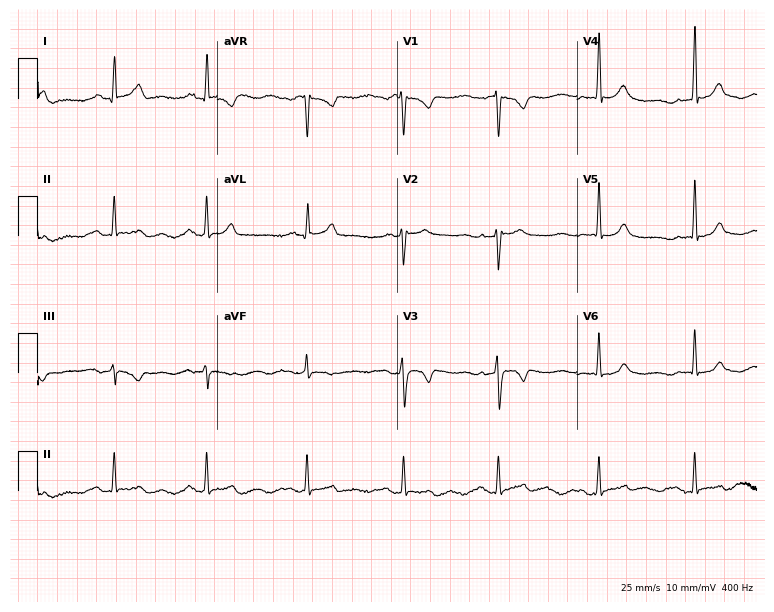
Electrocardiogram (7.3-second recording at 400 Hz), a 22-year-old male. Overall reading on record: normal ECG.